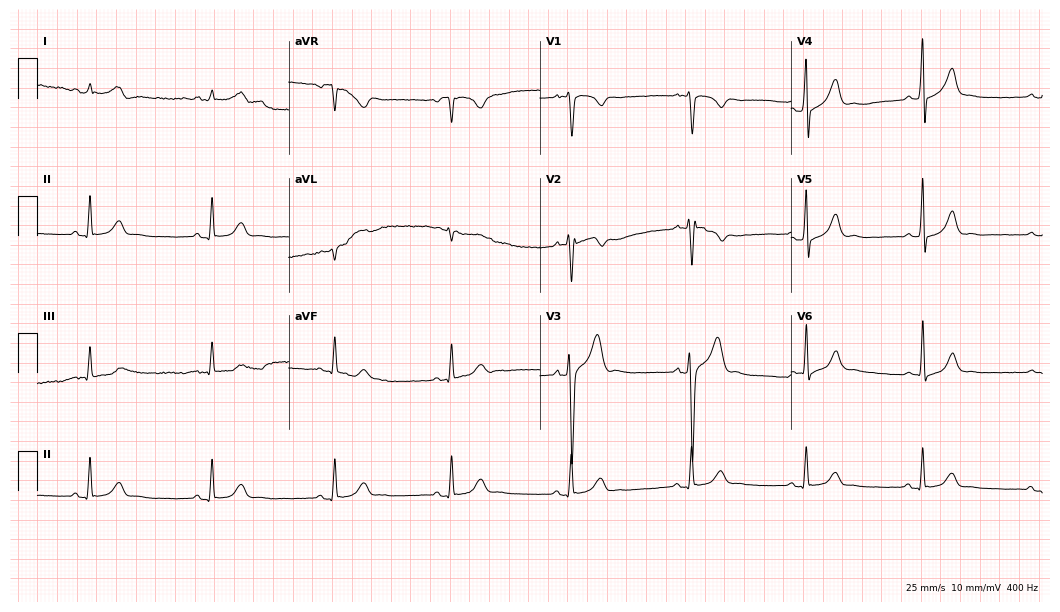
Standard 12-lead ECG recorded from a 40-year-old male patient. None of these six findings is recorded: first-degree AV block, right bundle branch block (RBBB), left bundle branch block (LBBB), sinus bradycardia, atrial fibrillation (AF), sinus tachycardia.